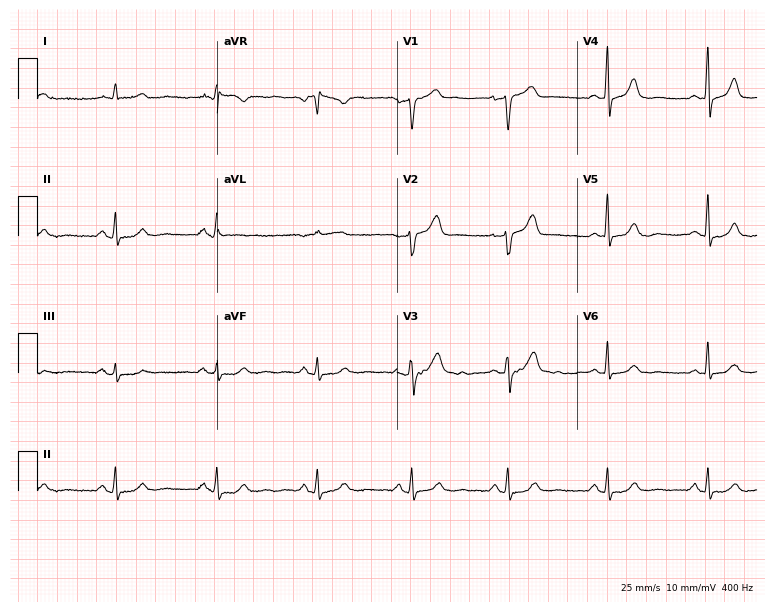
ECG (7.3-second recording at 400 Hz) — a 57-year-old female. Screened for six findings — first-degree AV block, right bundle branch block, left bundle branch block, sinus bradycardia, atrial fibrillation, sinus tachycardia — none is recorded.